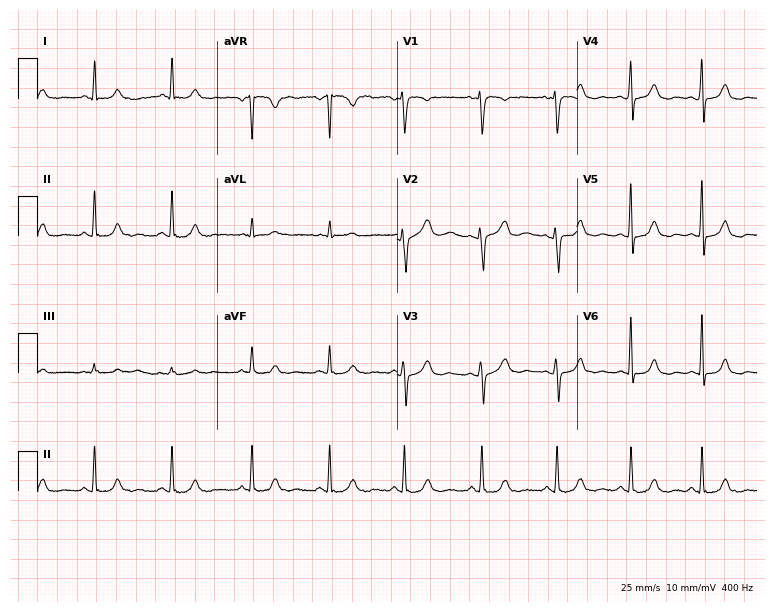
Electrocardiogram, a woman, 45 years old. Of the six screened findings (first-degree AV block, right bundle branch block (RBBB), left bundle branch block (LBBB), sinus bradycardia, atrial fibrillation (AF), sinus tachycardia), none is recorded. Only these six findings were labelled.